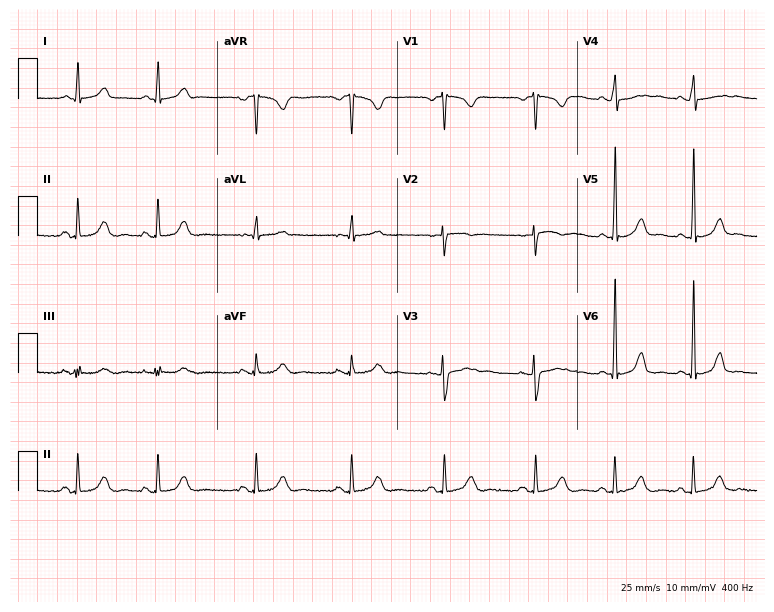
ECG (7.3-second recording at 400 Hz) — a 32-year-old female. Screened for six findings — first-degree AV block, right bundle branch block, left bundle branch block, sinus bradycardia, atrial fibrillation, sinus tachycardia — none is recorded. Findings outside these six are not listed.